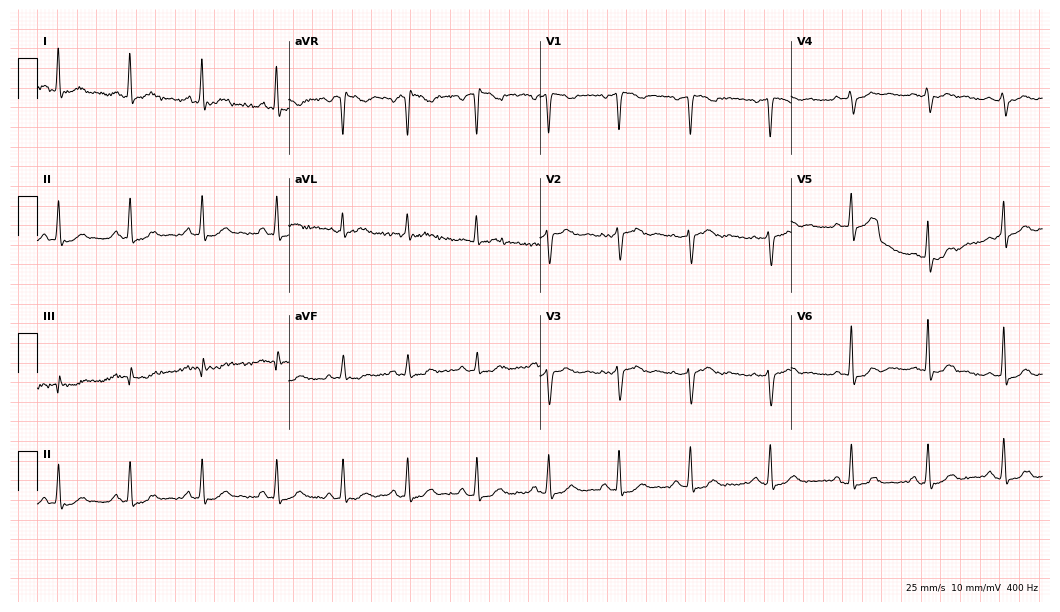
Resting 12-lead electrocardiogram (10.2-second recording at 400 Hz). Patient: a female, 29 years old. Read as a normal ECG.